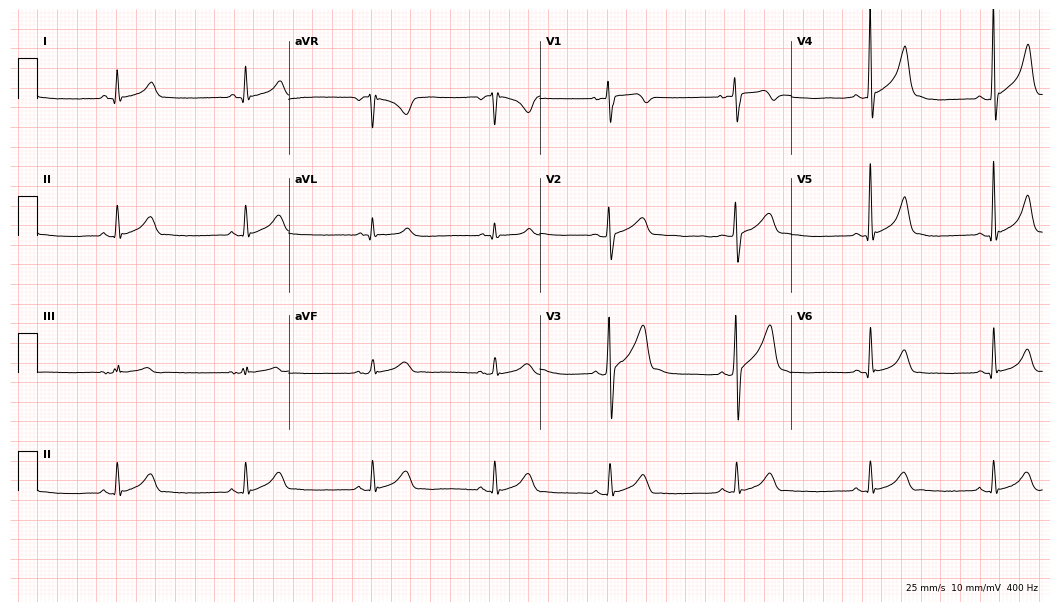
12-lead ECG from a 35-year-old male patient. Screened for six findings — first-degree AV block, right bundle branch block, left bundle branch block, sinus bradycardia, atrial fibrillation, sinus tachycardia — none is recorded.